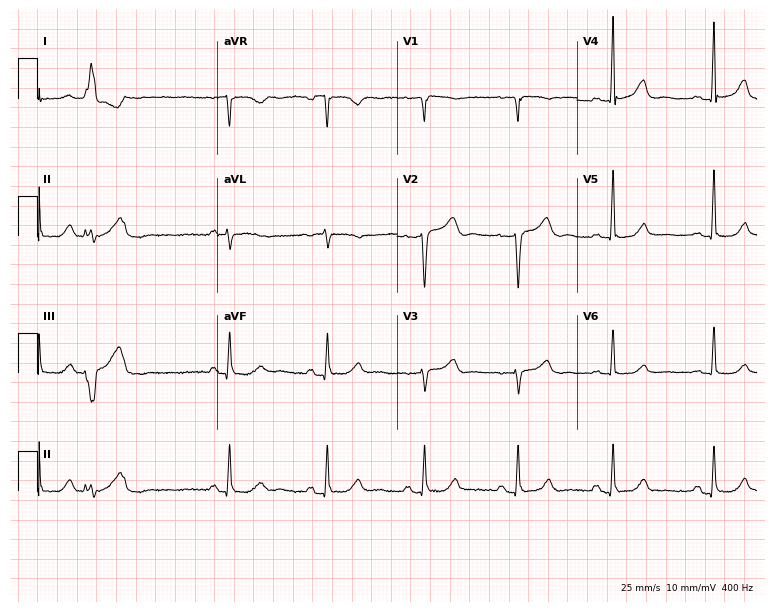
Standard 12-lead ECG recorded from a 50-year-old female. None of these six findings is recorded: first-degree AV block, right bundle branch block, left bundle branch block, sinus bradycardia, atrial fibrillation, sinus tachycardia.